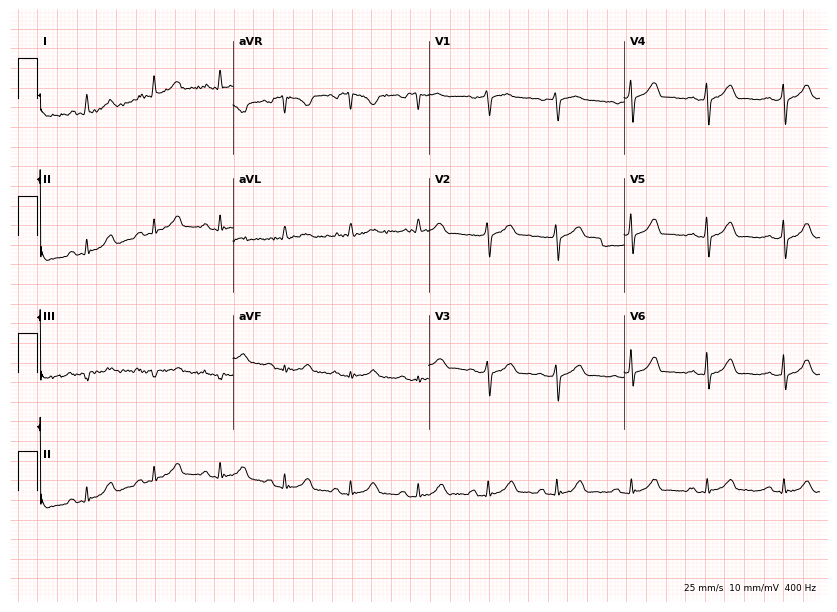
ECG (8-second recording at 400 Hz) — a 63-year-old female patient. Labelled as a normal ECG.